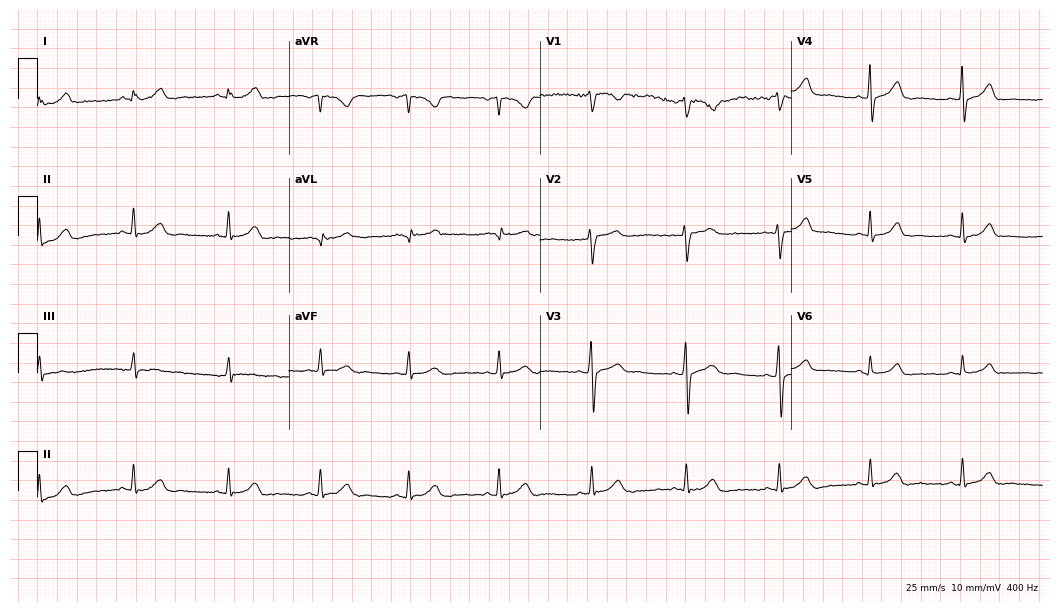
Standard 12-lead ECG recorded from a female patient, 52 years old. None of these six findings is recorded: first-degree AV block, right bundle branch block, left bundle branch block, sinus bradycardia, atrial fibrillation, sinus tachycardia.